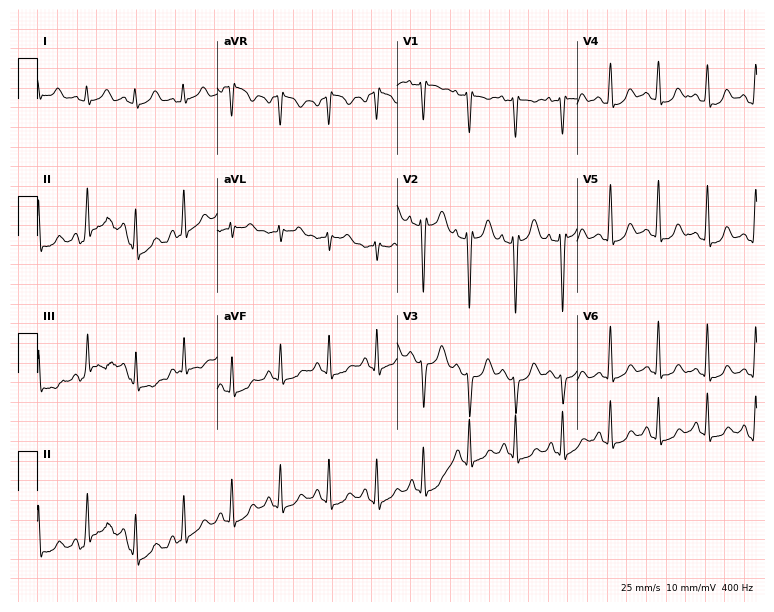
Standard 12-lead ECG recorded from a 29-year-old female patient (7.3-second recording at 400 Hz). The tracing shows sinus tachycardia (a sinus rate of 100 beats per minute or more).